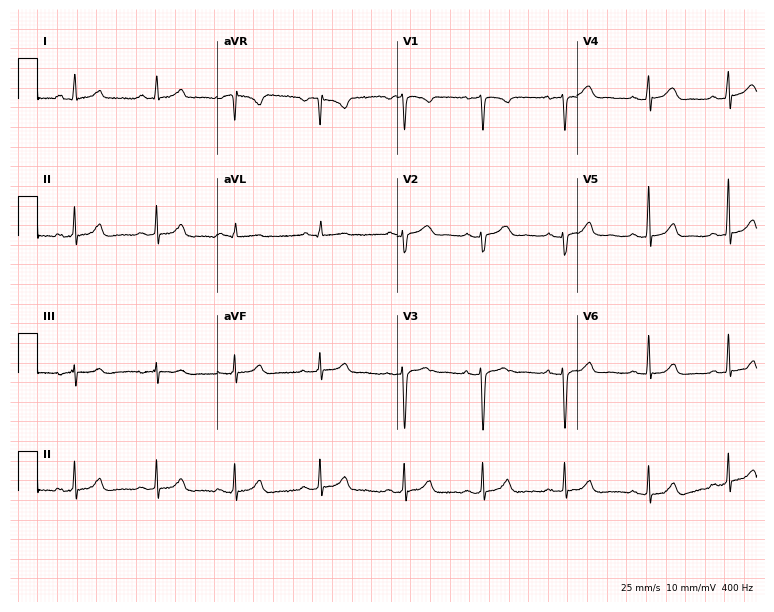
12-lead ECG from a 26-year-old female. Labelled as a normal ECG.